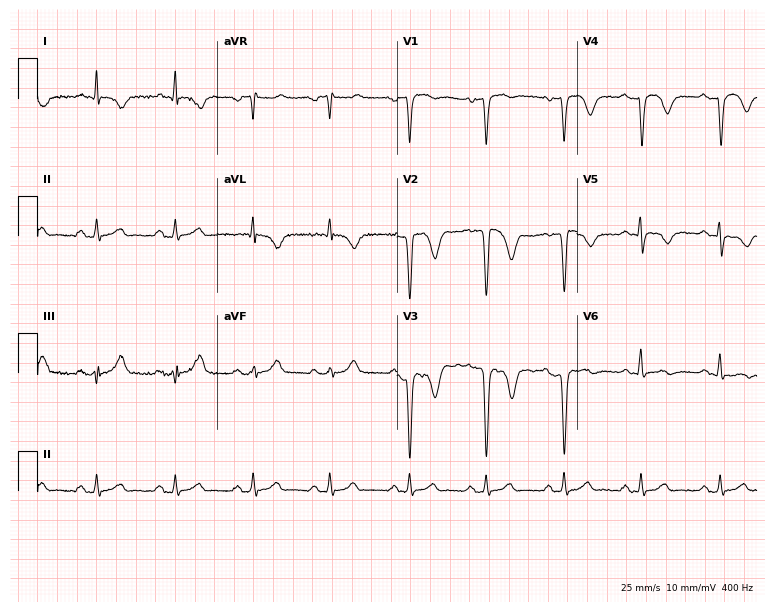
12-lead ECG from a 47-year-old male patient (7.3-second recording at 400 Hz). No first-degree AV block, right bundle branch block, left bundle branch block, sinus bradycardia, atrial fibrillation or sinus tachycardia recorded for this tracing.